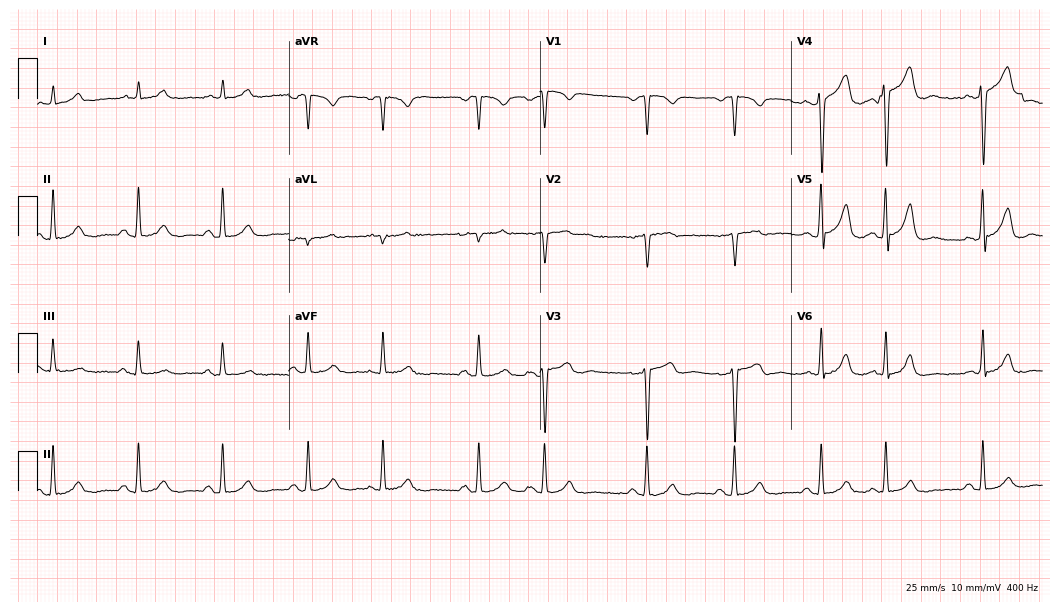
12-lead ECG from a 62-year-old male patient. Labelled as a normal ECG.